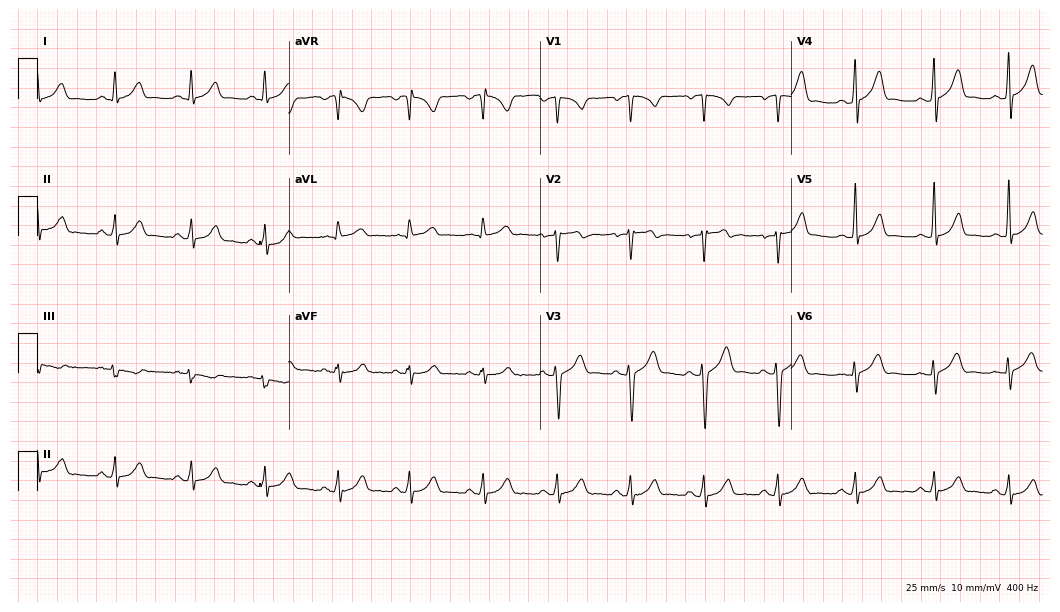
Electrocardiogram, a 22-year-old male. Overall reading on record: normal ECG.